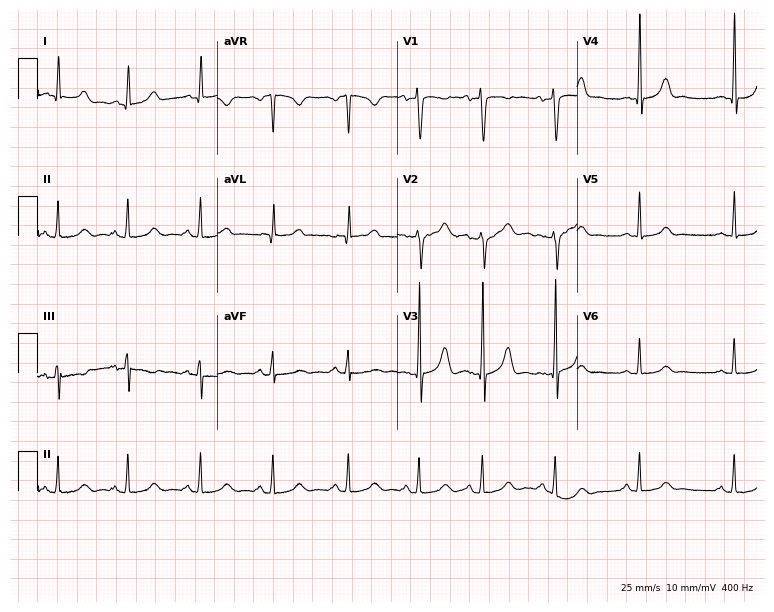
Standard 12-lead ECG recorded from a woman, 26 years old (7.3-second recording at 400 Hz). None of these six findings is recorded: first-degree AV block, right bundle branch block, left bundle branch block, sinus bradycardia, atrial fibrillation, sinus tachycardia. Findings outside these six are not listed.